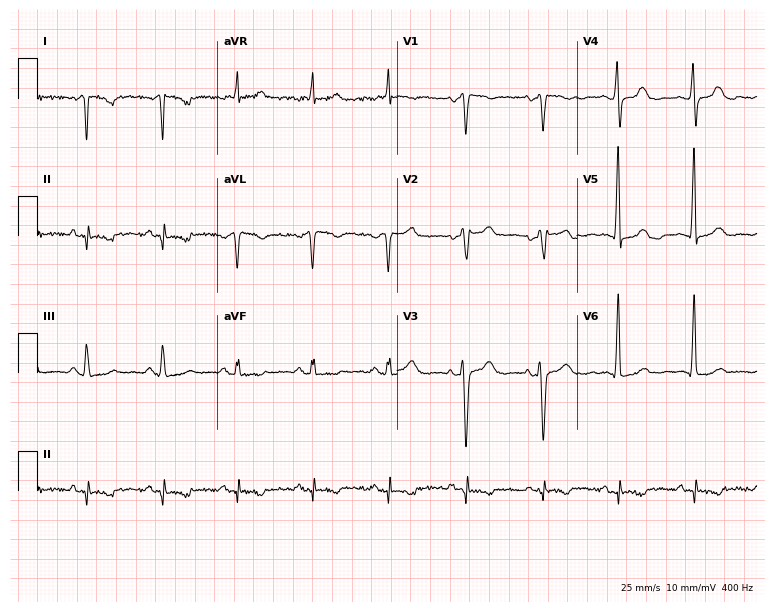
12-lead ECG from a 70-year-old female patient (7.3-second recording at 400 Hz). No first-degree AV block, right bundle branch block (RBBB), left bundle branch block (LBBB), sinus bradycardia, atrial fibrillation (AF) or sinus tachycardia recorded for this tracing. Findings outside these six are not listed.